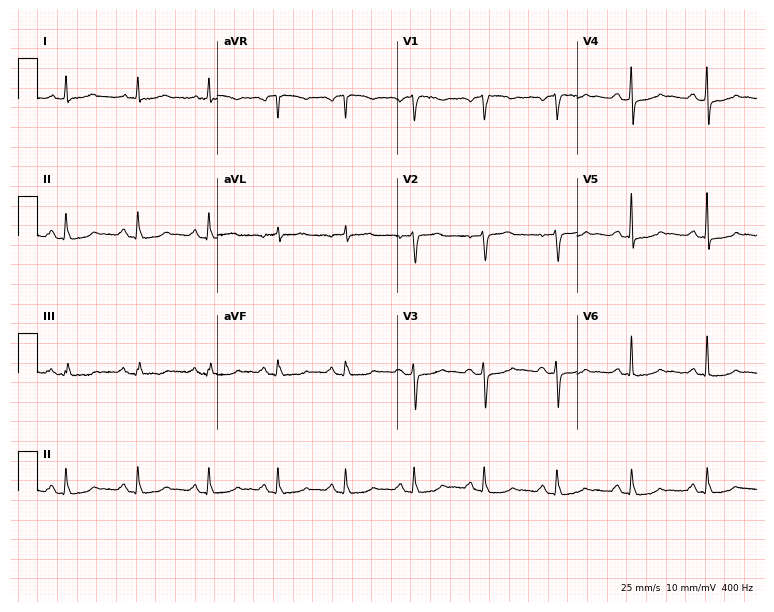
Electrocardiogram, a 59-year-old male patient. Of the six screened findings (first-degree AV block, right bundle branch block, left bundle branch block, sinus bradycardia, atrial fibrillation, sinus tachycardia), none is recorded.